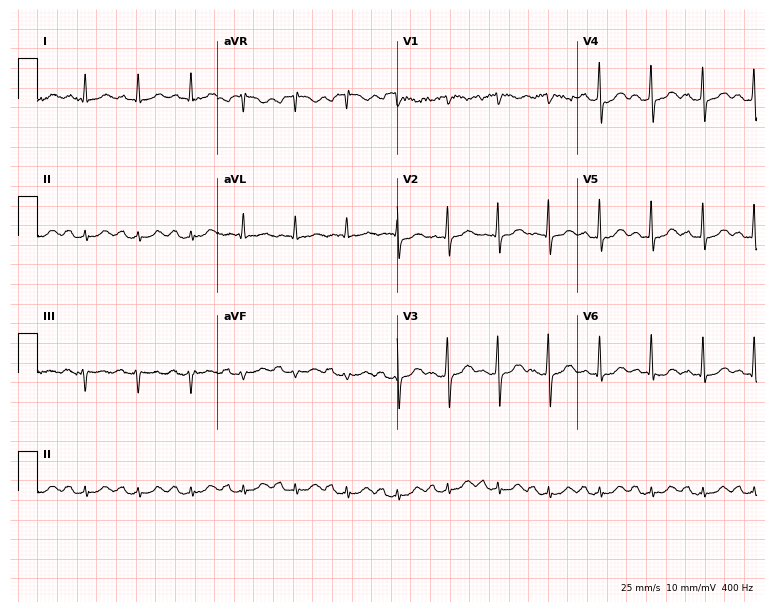
Electrocardiogram, a 63-year-old male. Of the six screened findings (first-degree AV block, right bundle branch block, left bundle branch block, sinus bradycardia, atrial fibrillation, sinus tachycardia), none is recorded. Findings outside these six are not listed.